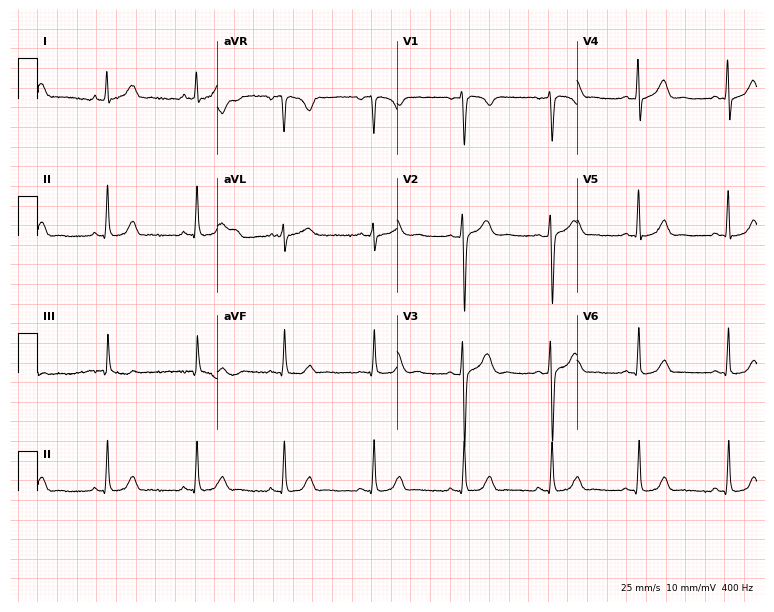
Electrocardiogram (7.3-second recording at 400 Hz), a 41-year-old man. Overall reading on record: normal ECG.